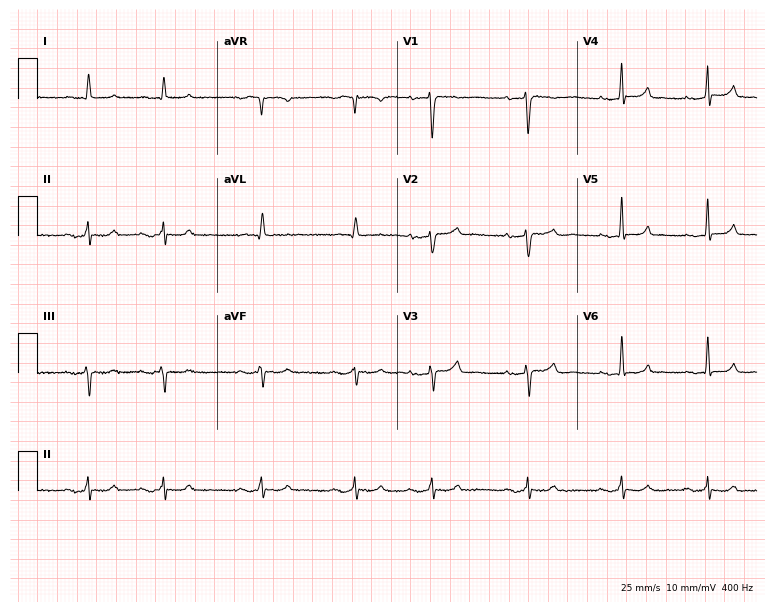
Standard 12-lead ECG recorded from a female, 70 years old (7.3-second recording at 400 Hz). None of these six findings is recorded: first-degree AV block, right bundle branch block (RBBB), left bundle branch block (LBBB), sinus bradycardia, atrial fibrillation (AF), sinus tachycardia.